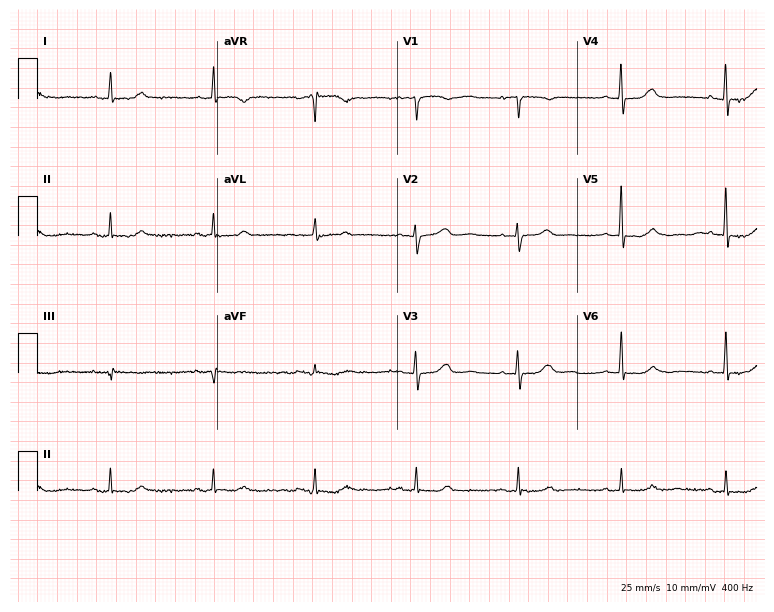
12-lead ECG from a 77-year-old female patient. No first-degree AV block, right bundle branch block (RBBB), left bundle branch block (LBBB), sinus bradycardia, atrial fibrillation (AF) or sinus tachycardia recorded for this tracing.